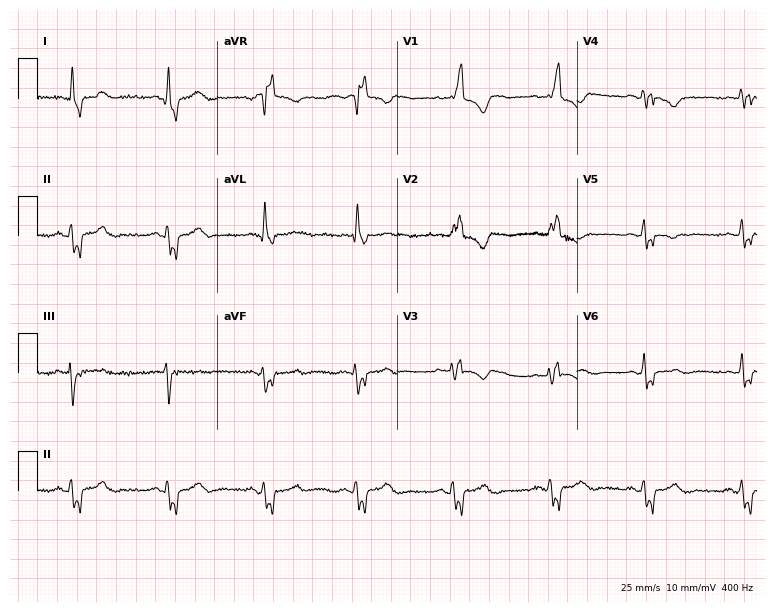
Electrocardiogram, a 69-year-old female patient. Interpretation includes right bundle branch block.